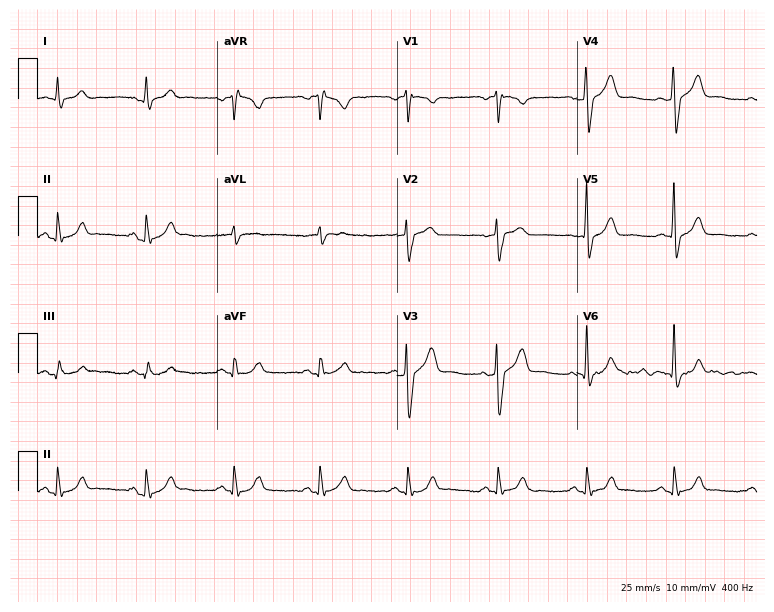
12-lead ECG from a 68-year-old male patient. Recorded interpretation: within normal limits.